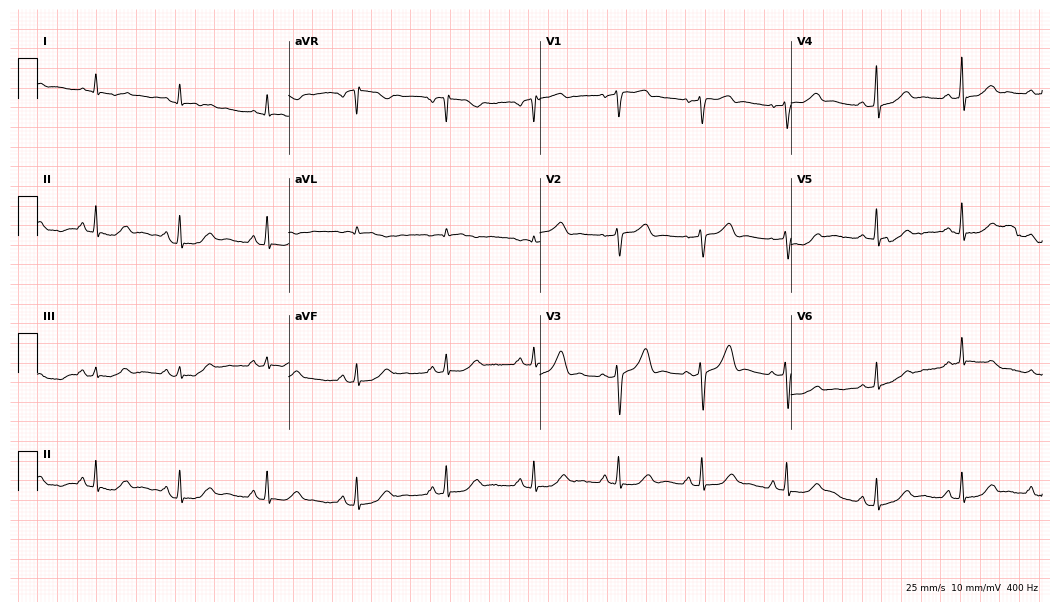
12-lead ECG from a 54-year-old female patient. Screened for six findings — first-degree AV block, right bundle branch block, left bundle branch block, sinus bradycardia, atrial fibrillation, sinus tachycardia — none is recorded.